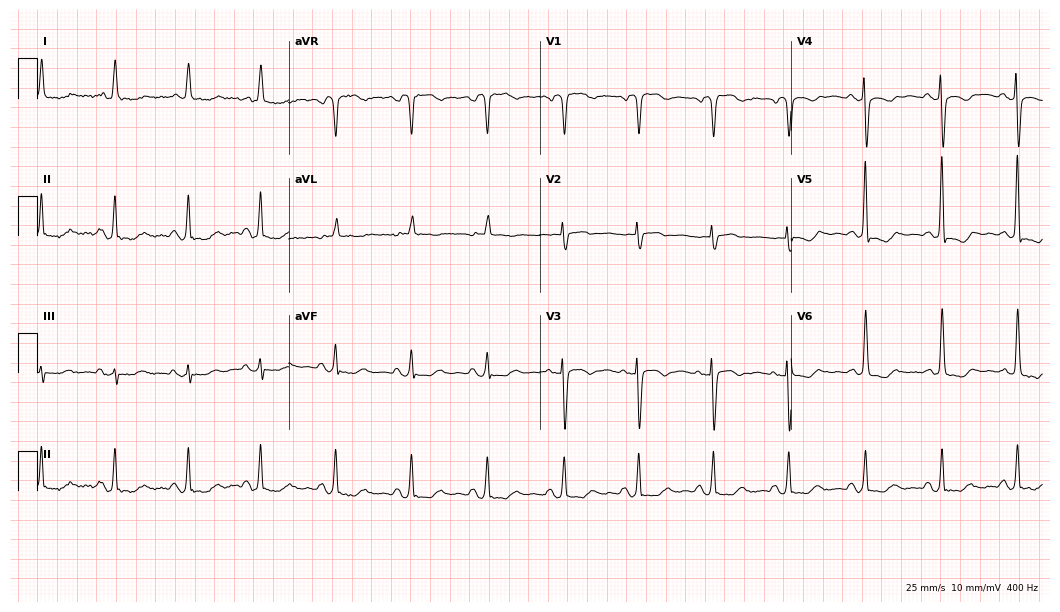
Standard 12-lead ECG recorded from a female patient, 58 years old. None of these six findings is recorded: first-degree AV block, right bundle branch block, left bundle branch block, sinus bradycardia, atrial fibrillation, sinus tachycardia. Findings outside these six are not listed.